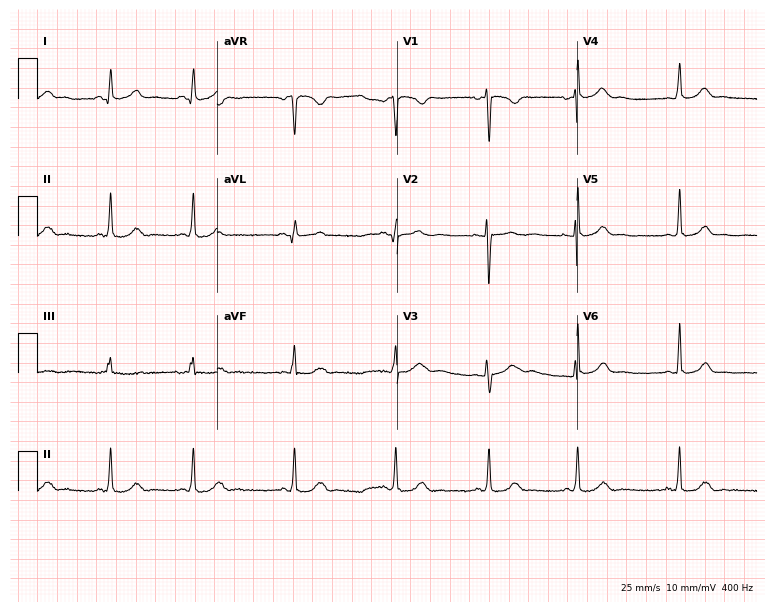
ECG (7.3-second recording at 400 Hz) — a woman, 21 years old. Labelled as a normal ECG.